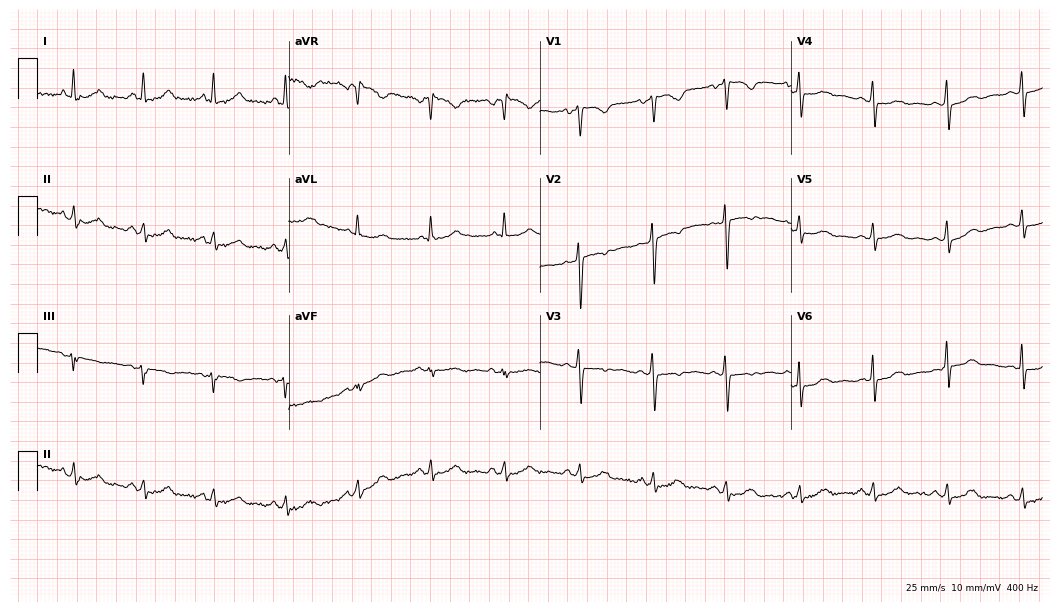
ECG — a 46-year-old female. Screened for six findings — first-degree AV block, right bundle branch block, left bundle branch block, sinus bradycardia, atrial fibrillation, sinus tachycardia — none is recorded. Other findings, if any, are not listed.